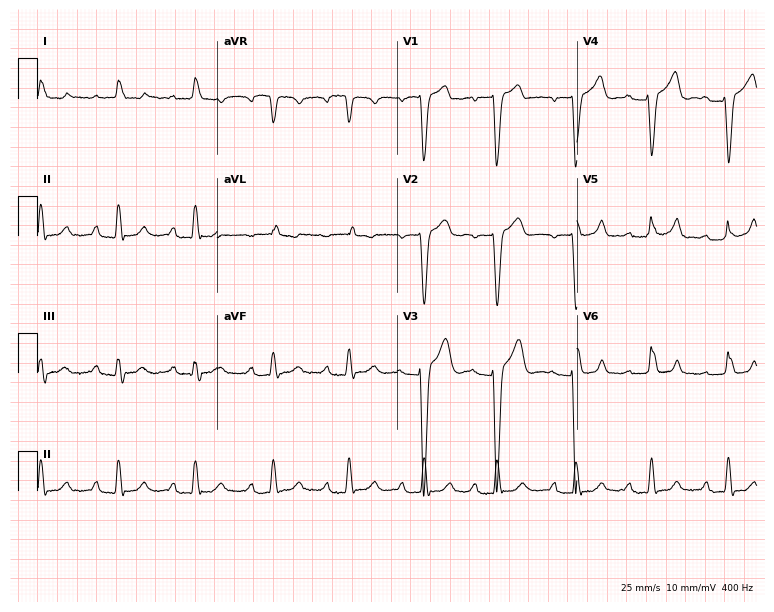
12-lead ECG from a man, 80 years old (7.3-second recording at 400 Hz). No first-degree AV block, right bundle branch block, left bundle branch block, sinus bradycardia, atrial fibrillation or sinus tachycardia recorded for this tracing.